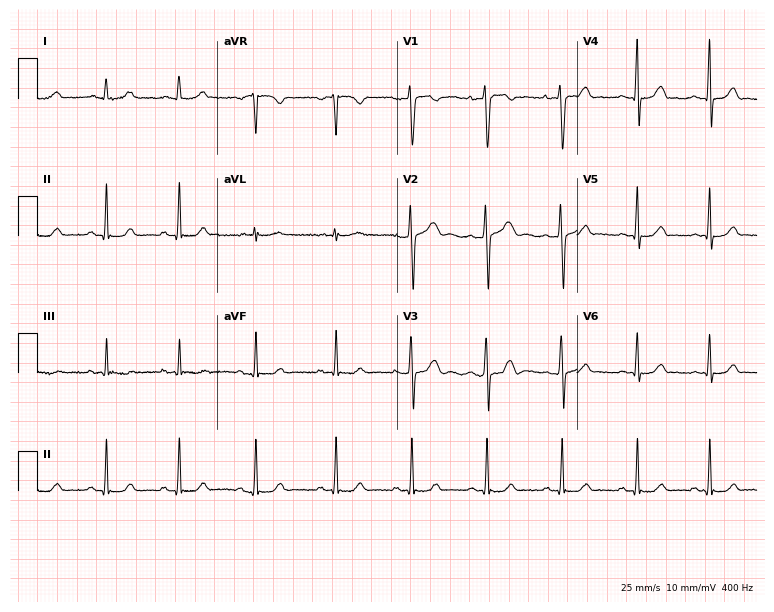
12-lead ECG from a woman, 17 years old. No first-degree AV block, right bundle branch block (RBBB), left bundle branch block (LBBB), sinus bradycardia, atrial fibrillation (AF) or sinus tachycardia recorded for this tracing.